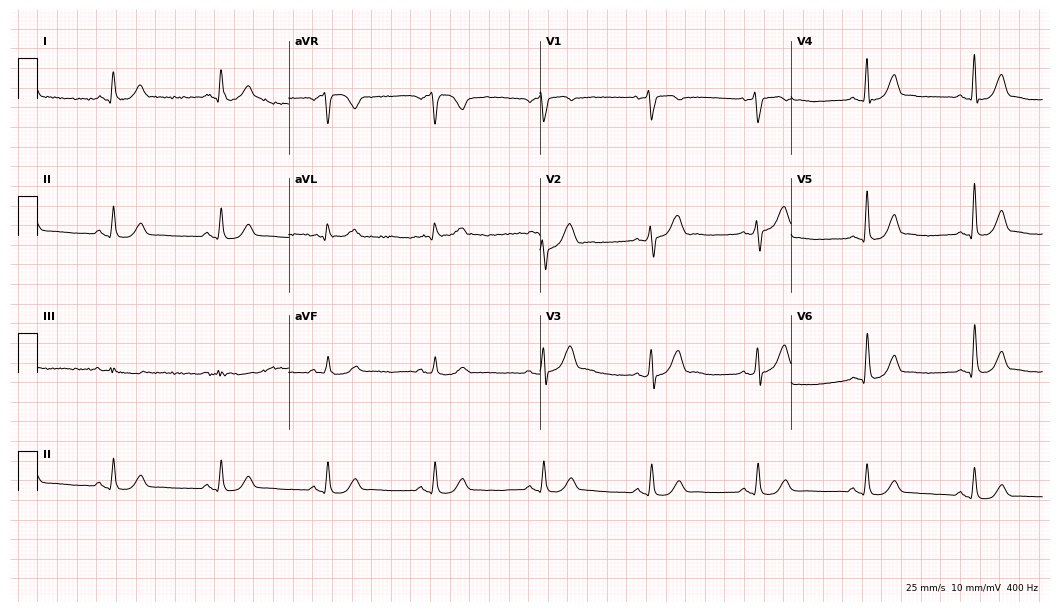
ECG — a 51-year-old male patient. Labelled as a normal ECG.